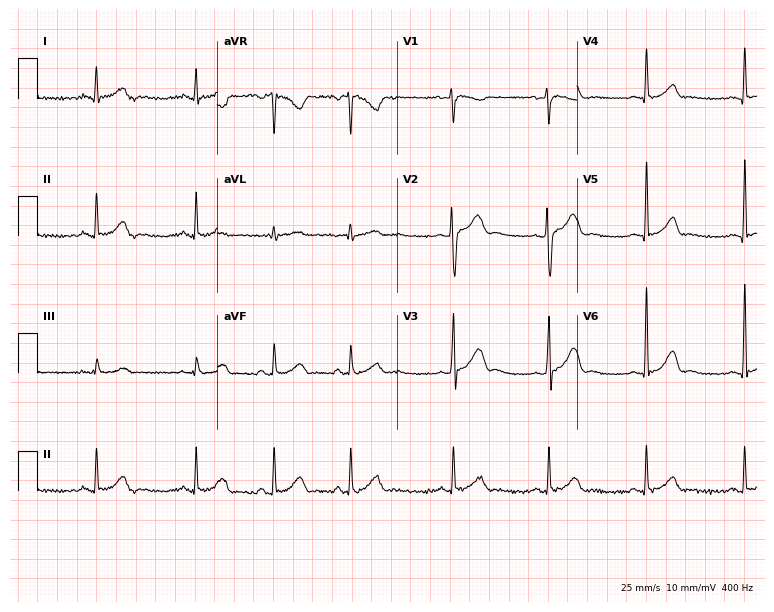
Standard 12-lead ECG recorded from a 36-year-old female patient (7.3-second recording at 400 Hz). Read as a normal ECG.